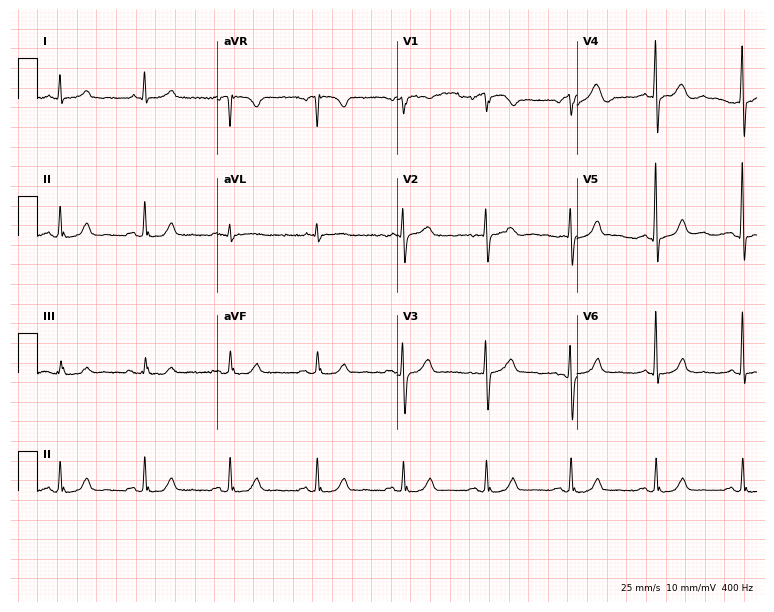
12-lead ECG from a 60-year-old woman. Labelled as a normal ECG.